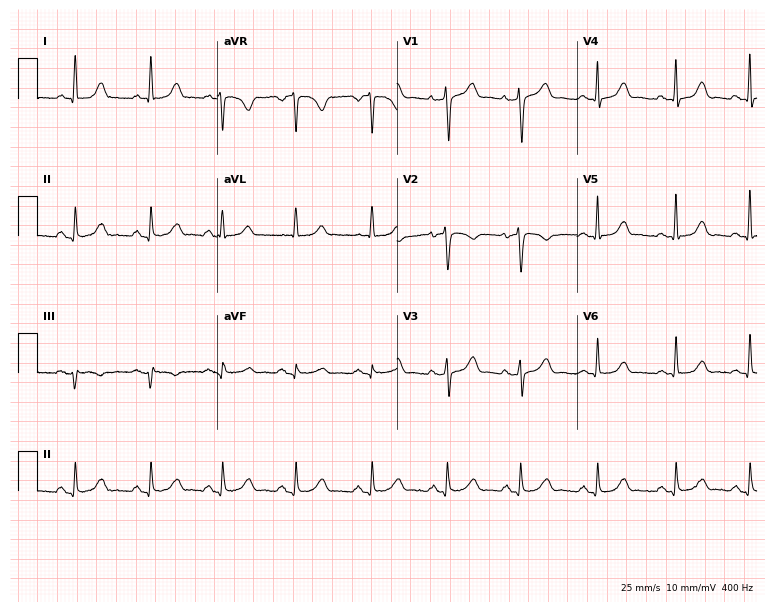
ECG (7.3-second recording at 400 Hz) — a 53-year-old female patient. Labelled as a normal ECG.